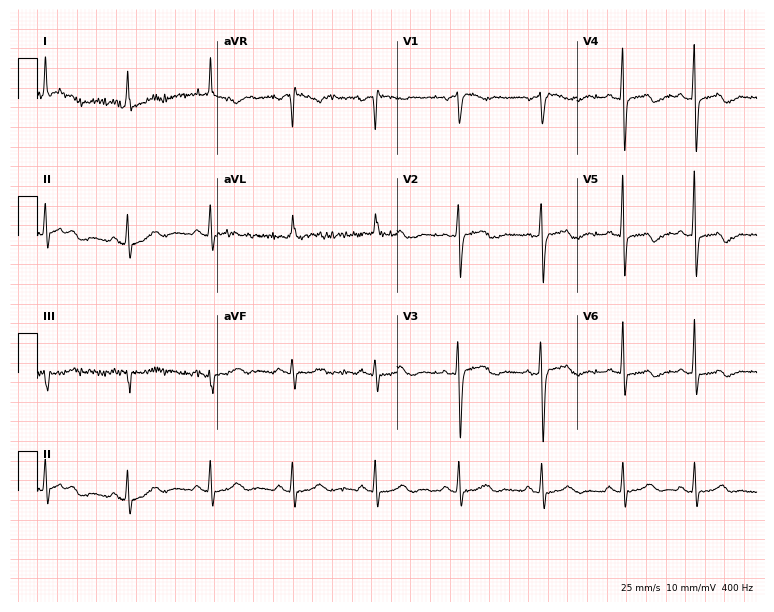
Standard 12-lead ECG recorded from a 75-year-old woman. None of these six findings is recorded: first-degree AV block, right bundle branch block (RBBB), left bundle branch block (LBBB), sinus bradycardia, atrial fibrillation (AF), sinus tachycardia.